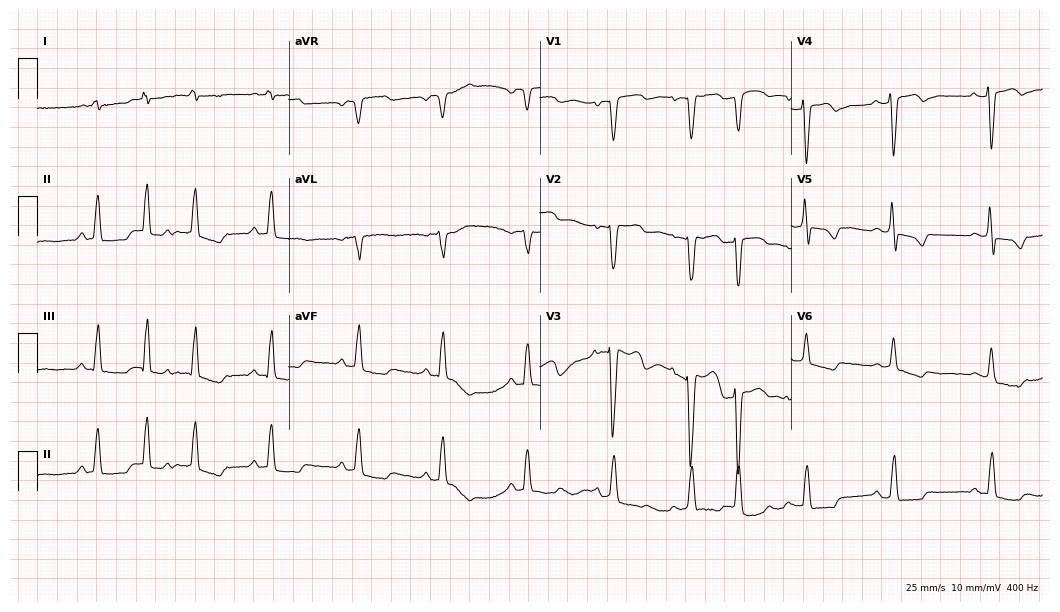
12-lead ECG from a 72-year-old female. No first-degree AV block, right bundle branch block (RBBB), left bundle branch block (LBBB), sinus bradycardia, atrial fibrillation (AF) or sinus tachycardia recorded for this tracing.